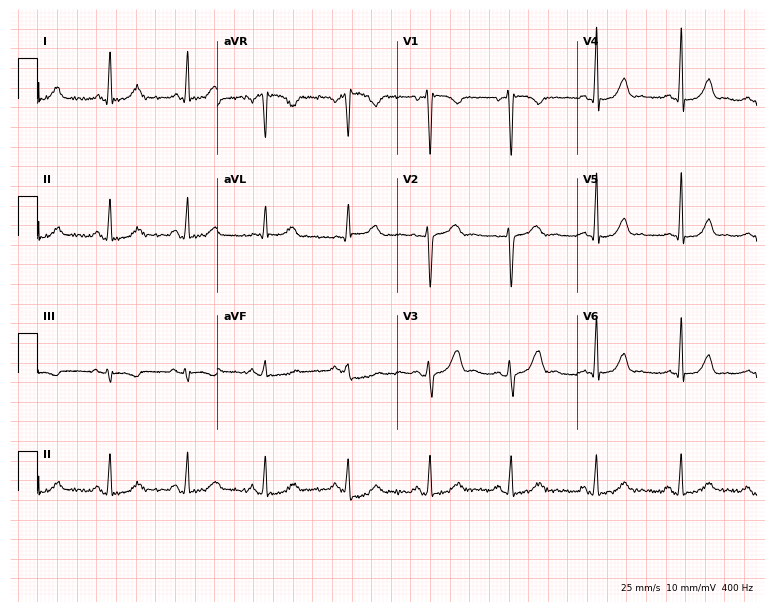
Electrocardiogram (7.3-second recording at 400 Hz), a female patient, 44 years old. Of the six screened findings (first-degree AV block, right bundle branch block, left bundle branch block, sinus bradycardia, atrial fibrillation, sinus tachycardia), none is recorded. Findings outside these six are not listed.